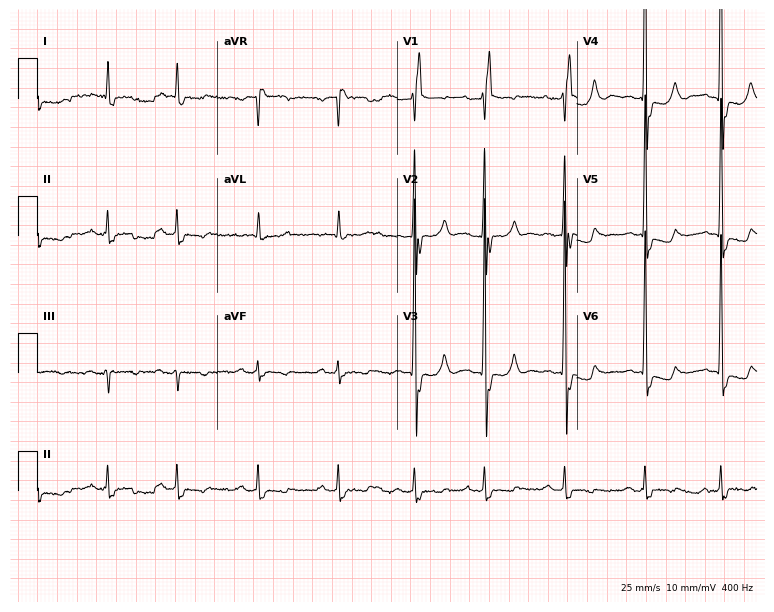
ECG — a 75-year-old woman. Findings include right bundle branch block (RBBB).